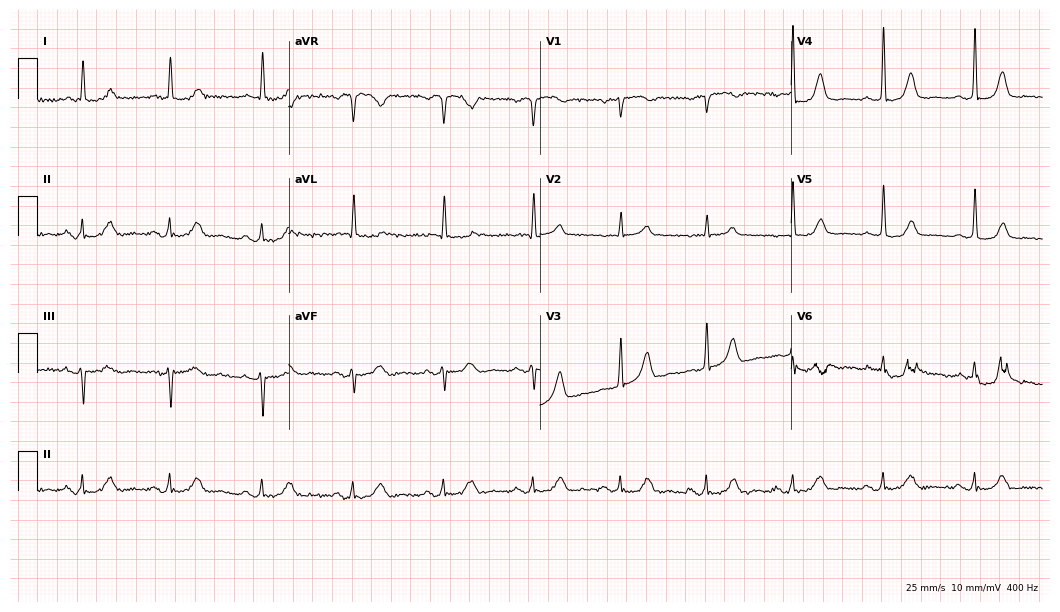
12-lead ECG from a female, 79 years old. Labelled as a normal ECG.